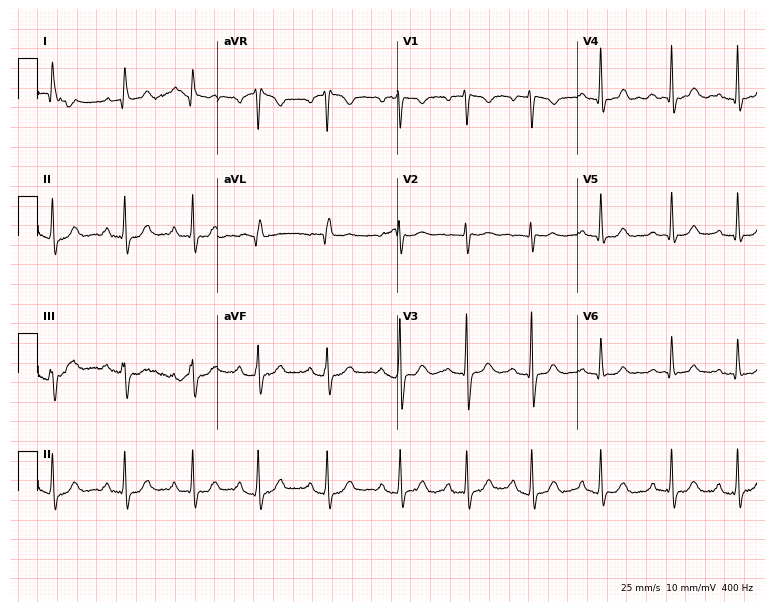
12-lead ECG (7.3-second recording at 400 Hz) from a 21-year-old female patient. Labelled as a normal ECG.